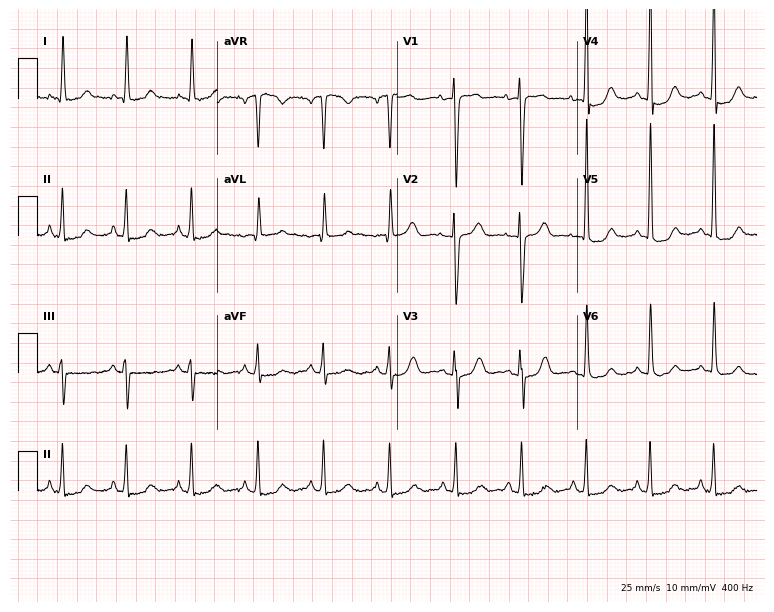
Standard 12-lead ECG recorded from an 81-year-old female (7.3-second recording at 400 Hz). None of these six findings is recorded: first-degree AV block, right bundle branch block (RBBB), left bundle branch block (LBBB), sinus bradycardia, atrial fibrillation (AF), sinus tachycardia. Only these six findings were labelled.